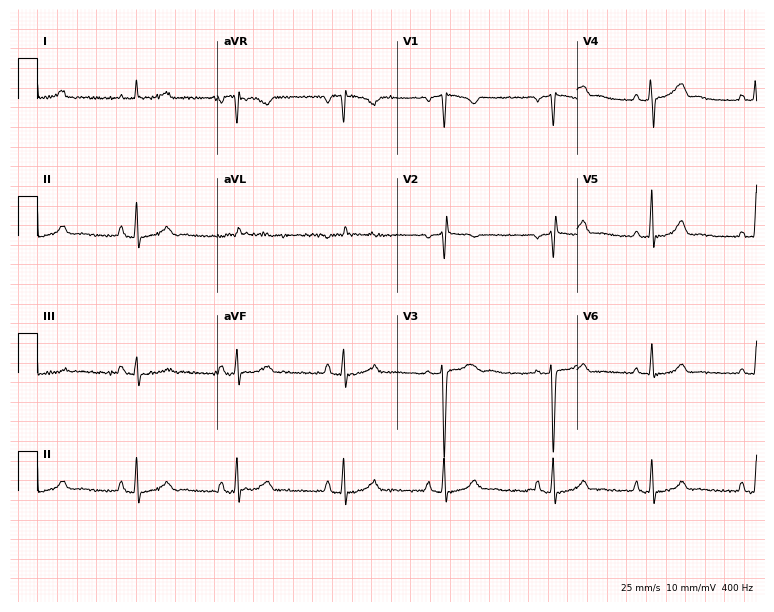
12-lead ECG (7.3-second recording at 400 Hz) from a 32-year-old female patient. Screened for six findings — first-degree AV block, right bundle branch block, left bundle branch block, sinus bradycardia, atrial fibrillation, sinus tachycardia — none is recorded. Only these six findings were labelled.